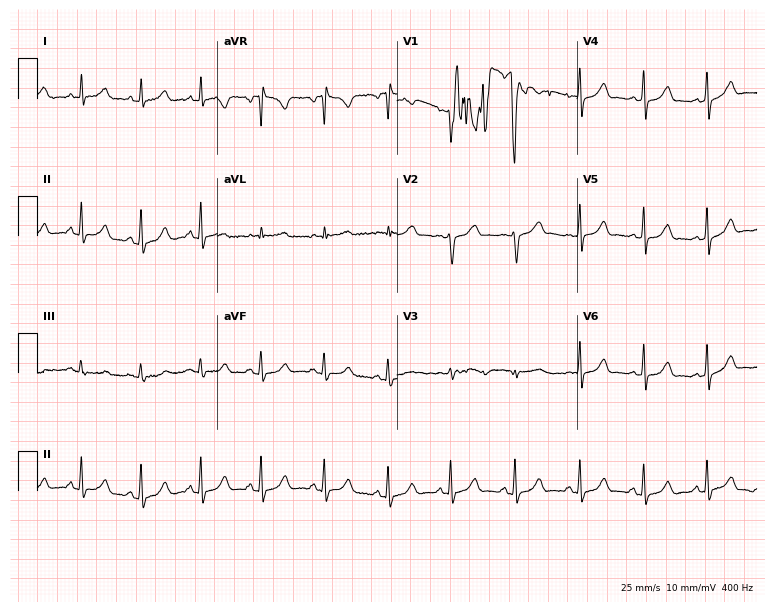
Standard 12-lead ECG recorded from a 42-year-old female patient. Read as a normal ECG.